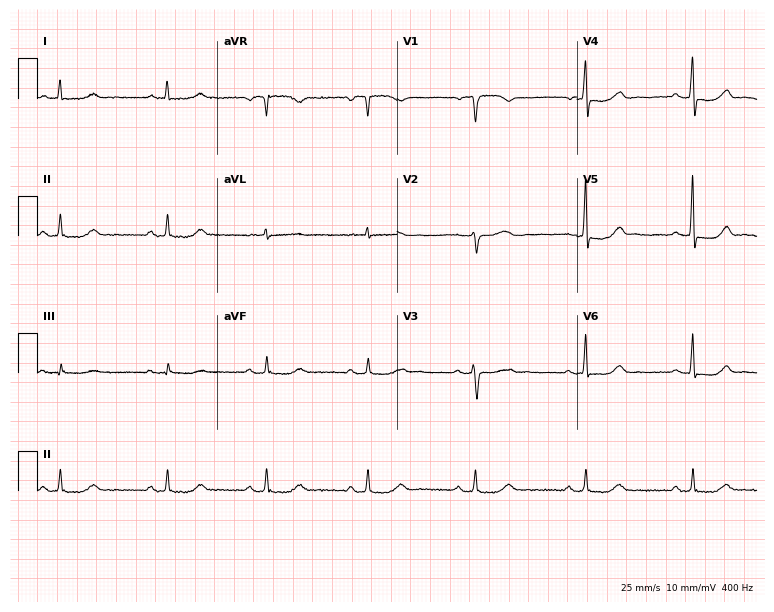
12-lead ECG from a 54-year-old female. Recorded interpretation: within normal limits.